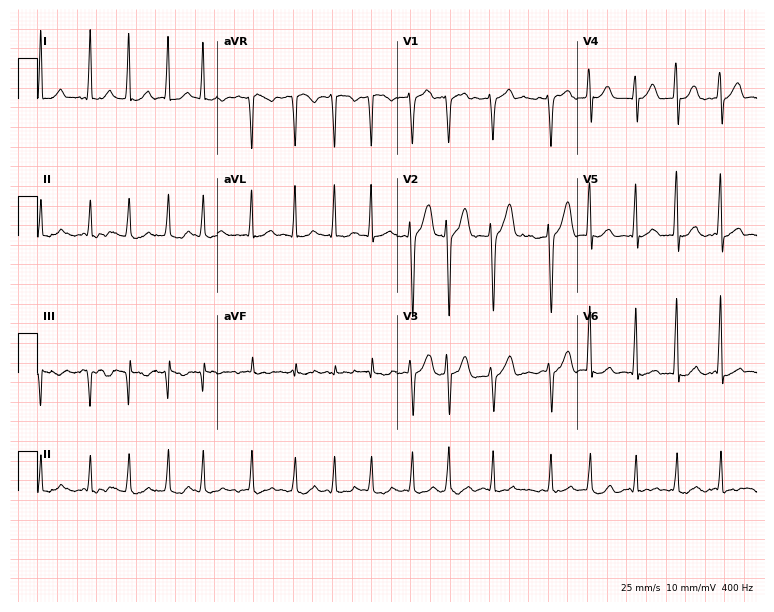
Resting 12-lead electrocardiogram (7.3-second recording at 400 Hz). Patient: a female, 71 years old. The tracing shows atrial fibrillation.